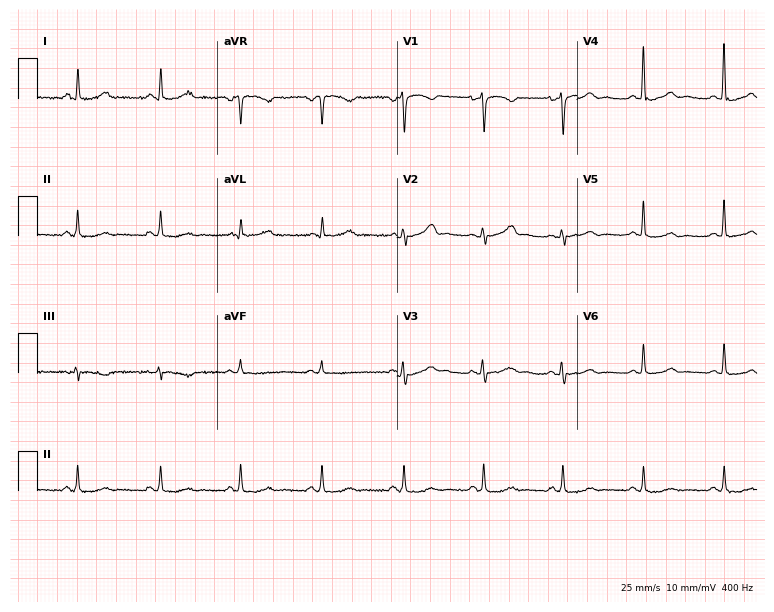
ECG (7.3-second recording at 400 Hz) — a 48-year-old female. Screened for six findings — first-degree AV block, right bundle branch block (RBBB), left bundle branch block (LBBB), sinus bradycardia, atrial fibrillation (AF), sinus tachycardia — none is recorded.